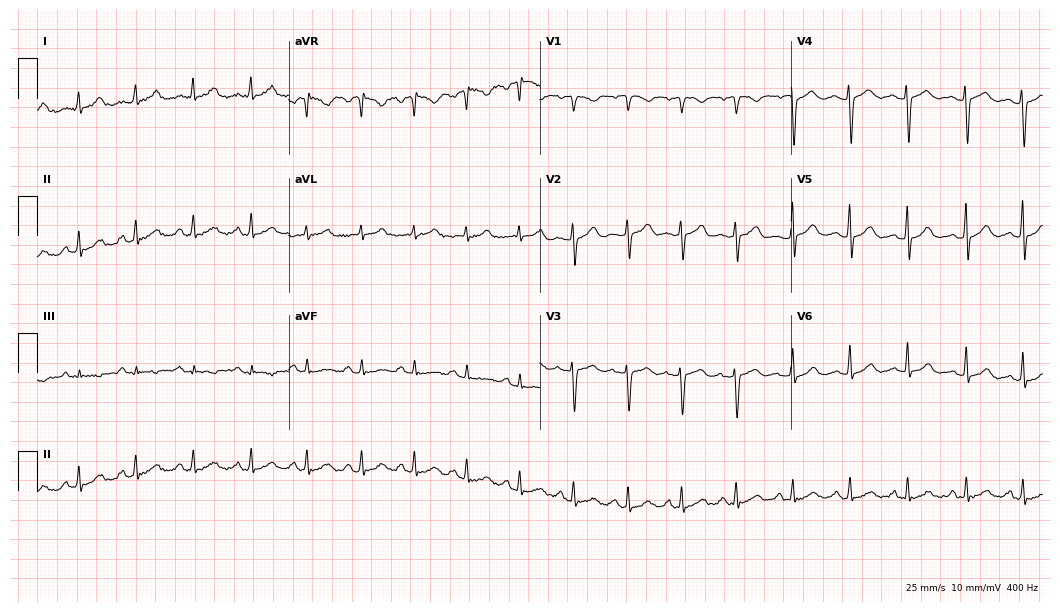
12-lead ECG from a female patient, 27 years old (10.2-second recording at 400 Hz). Shows sinus tachycardia (a sinus rate of 100 beats per minute or more).